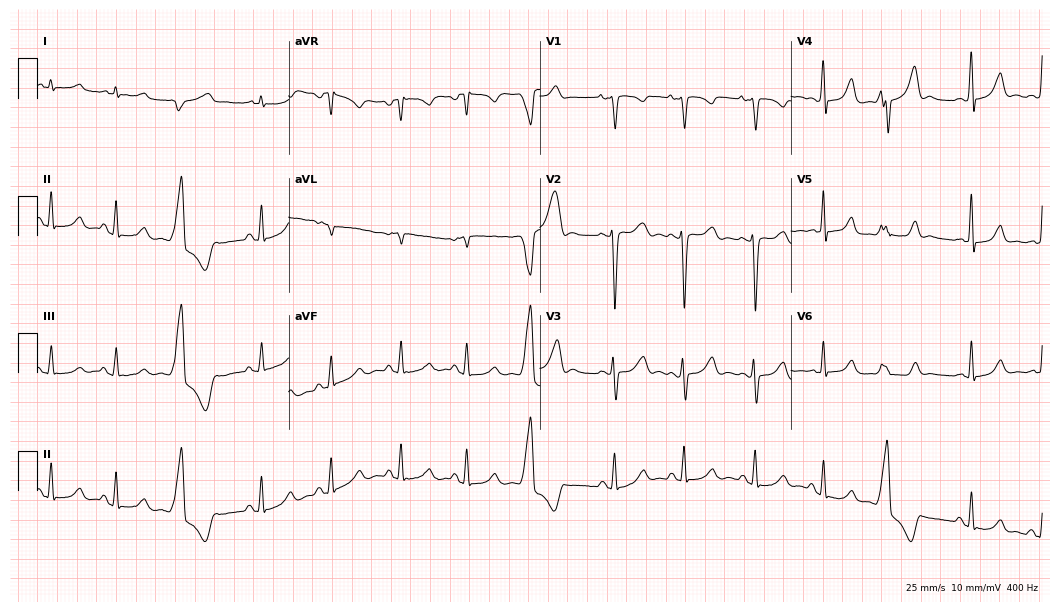
Electrocardiogram, a 49-year-old woman. Of the six screened findings (first-degree AV block, right bundle branch block (RBBB), left bundle branch block (LBBB), sinus bradycardia, atrial fibrillation (AF), sinus tachycardia), none is recorded. Only these six findings were labelled.